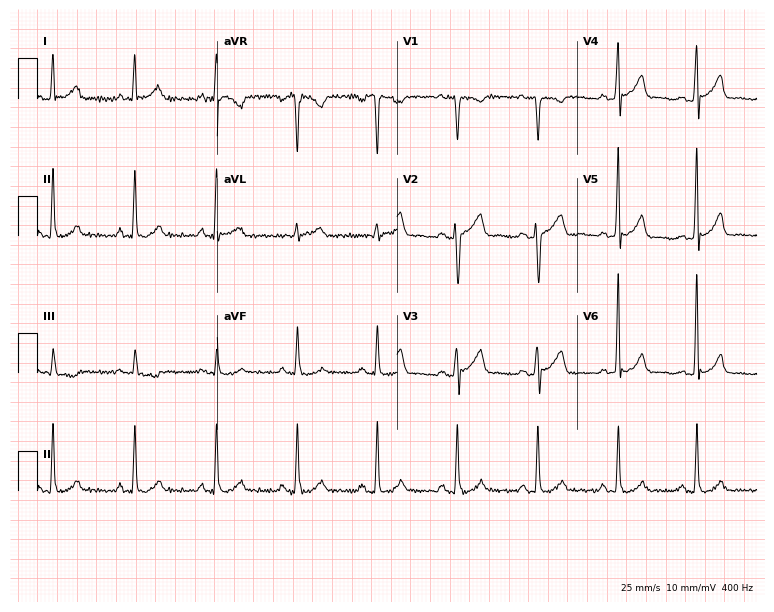
12-lead ECG from a 43-year-old man. Recorded interpretation: within normal limits.